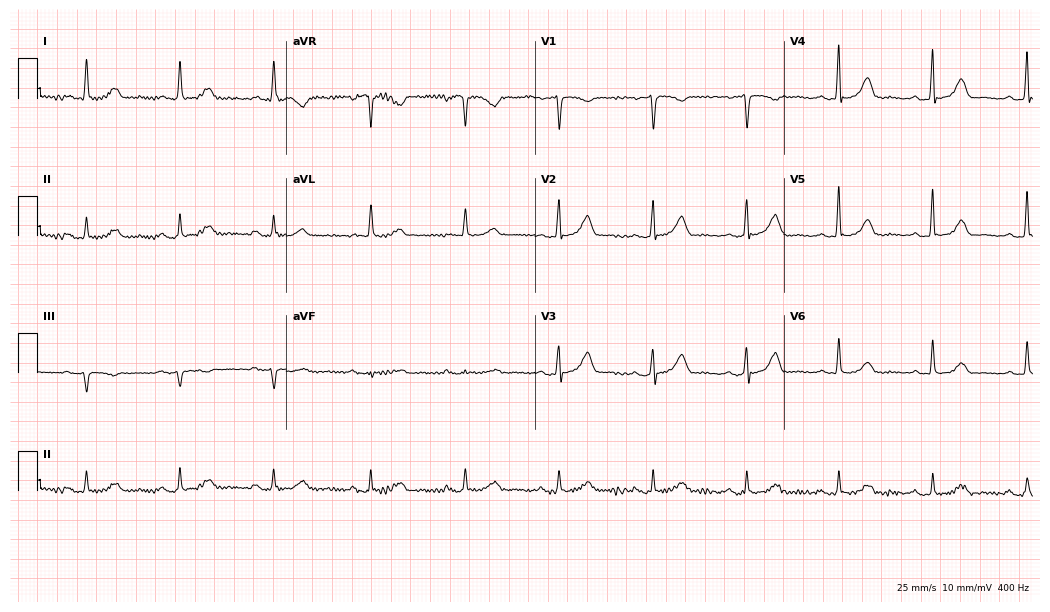
12-lead ECG from a woman, 53 years old (10.1-second recording at 400 Hz). Recorded interpretation: within normal limits.